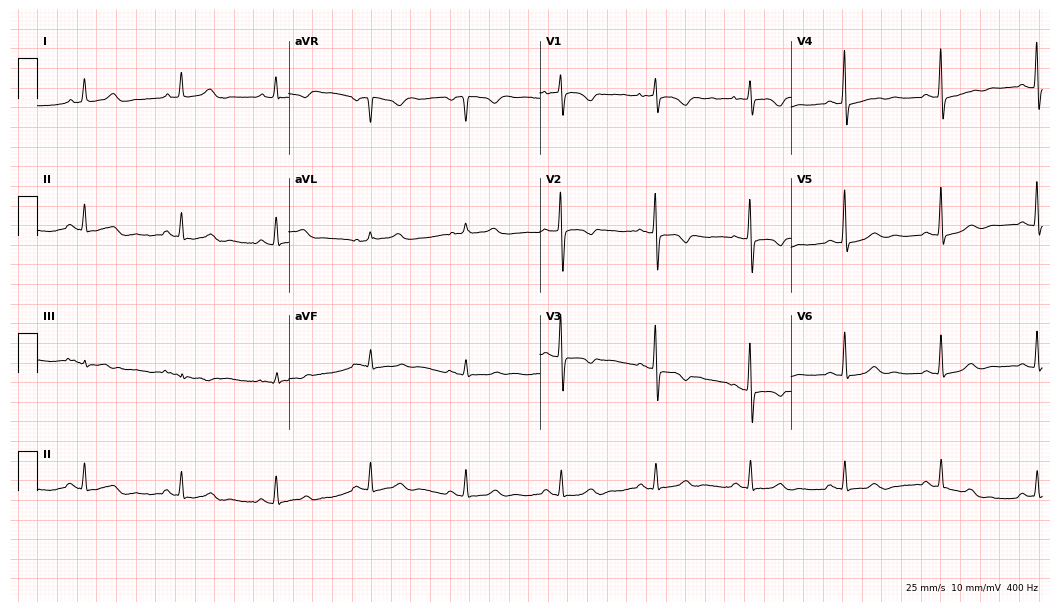
Standard 12-lead ECG recorded from an 80-year-old female patient (10.2-second recording at 400 Hz). Read as a normal ECG.